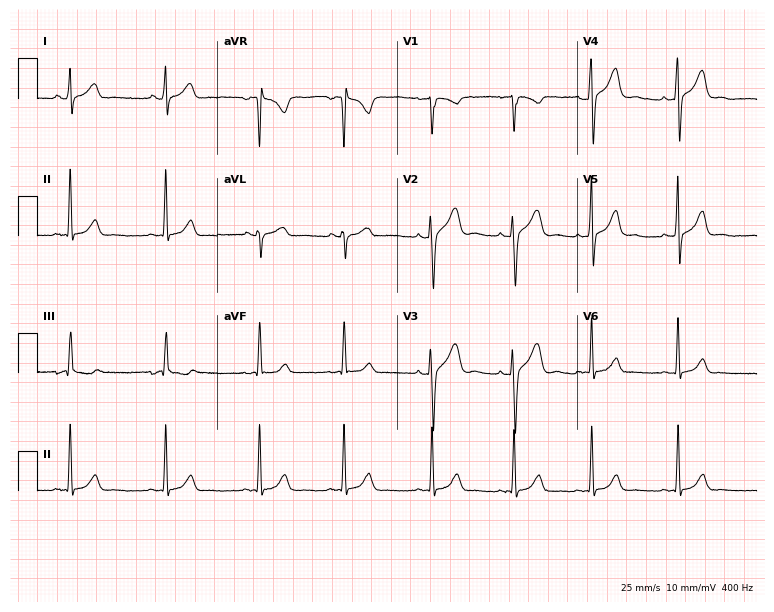
Electrocardiogram (7.3-second recording at 400 Hz), a 22-year-old female. Of the six screened findings (first-degree AV block, right bundle branch block (RBBB), left bundle branch block (LBBB), sinus bradycardia, atrial fibrillation (AF), sinus tachycardia), none is recorded. Only these six findings were labelled.